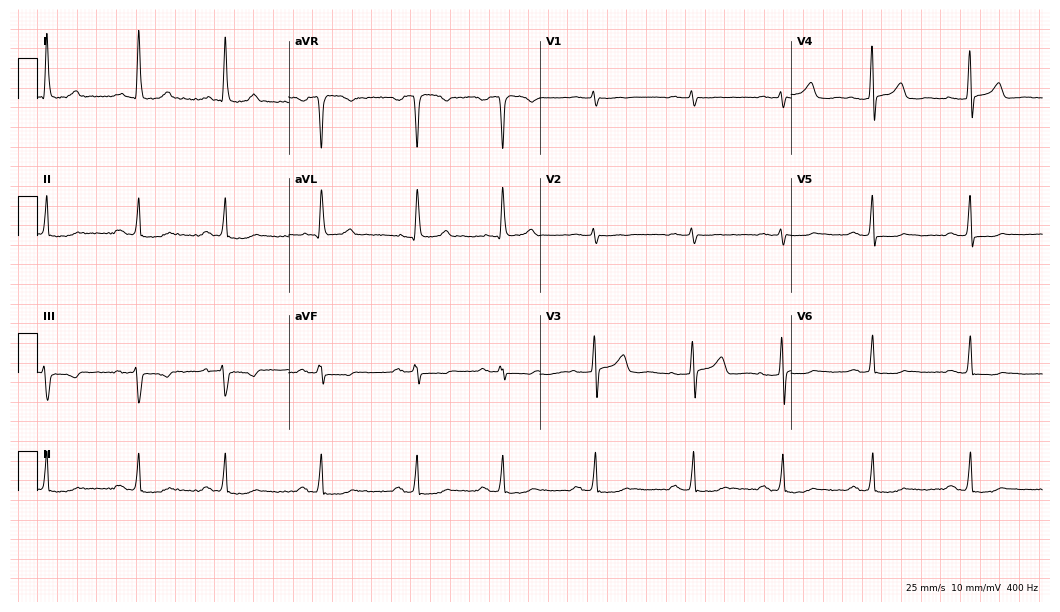
12-lead ECG from a female, 64 years old (10.2-second recording at 400 Hz). Recorded interpretation: within normal limits.